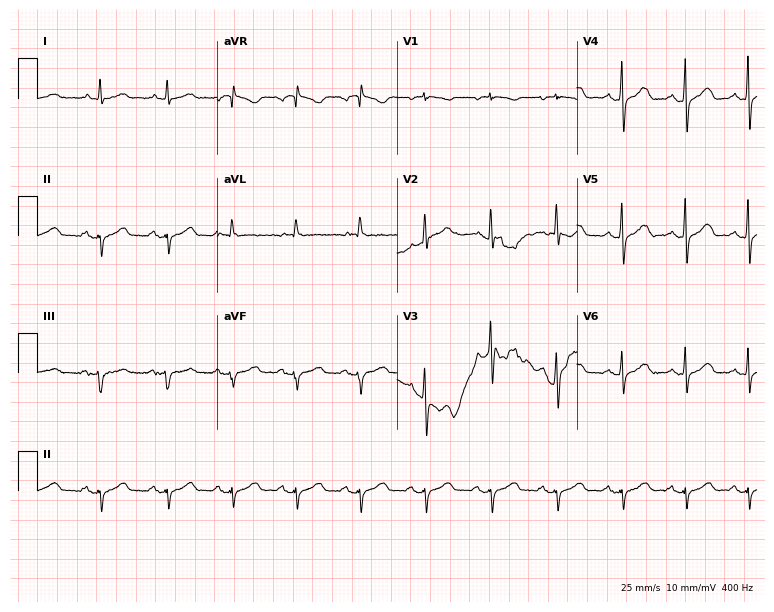
Electrocardiogram (7.3-second recording at 400 Hz), a male patient, 70 years old. Of the six screened findings (first-degree AV block, right bundle branch block (RBBB), left bundle branch block (LBBB), sinus bradycardia, atrial fibrillation (AF), sinus tachycardia), none is recorded.